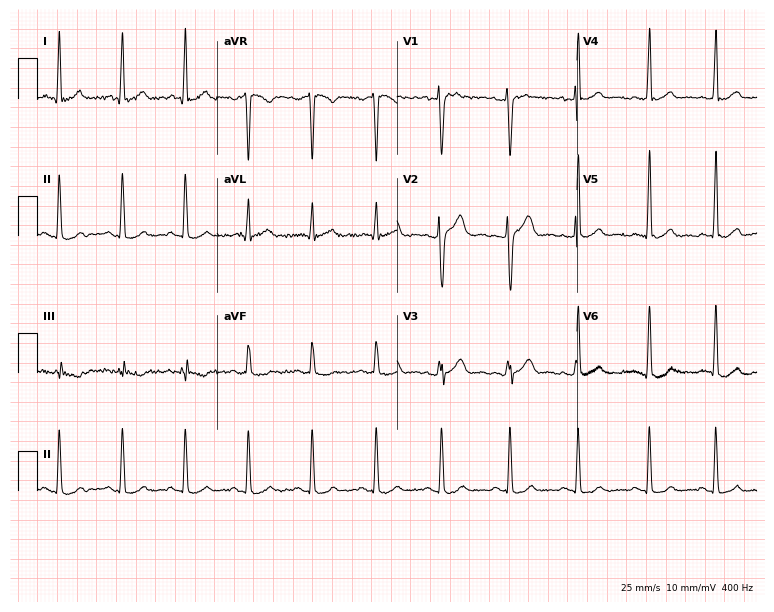
12-lead ECG from a male, 26 years old. Recorded interpretation: within normal limits.